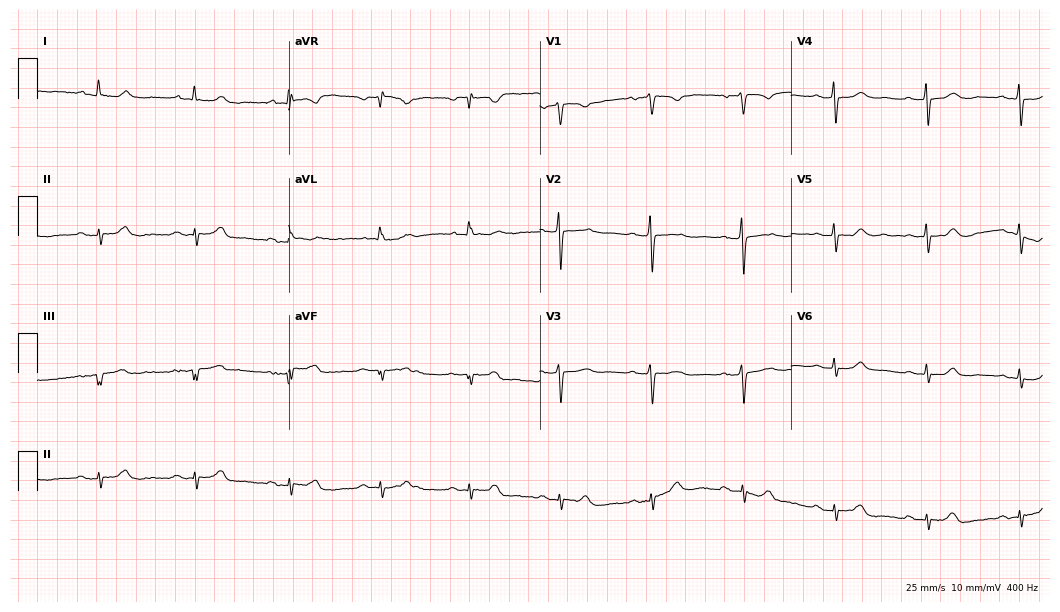
ECG (10.2-second recording at 400 Hz) — a 79-year-old female. Screened for six findings — first-degree AV block, right bundle branch block, left bundle branch block, sinus bradycardia, atrial fibrillation, sinus tachycardia — none is recorded.